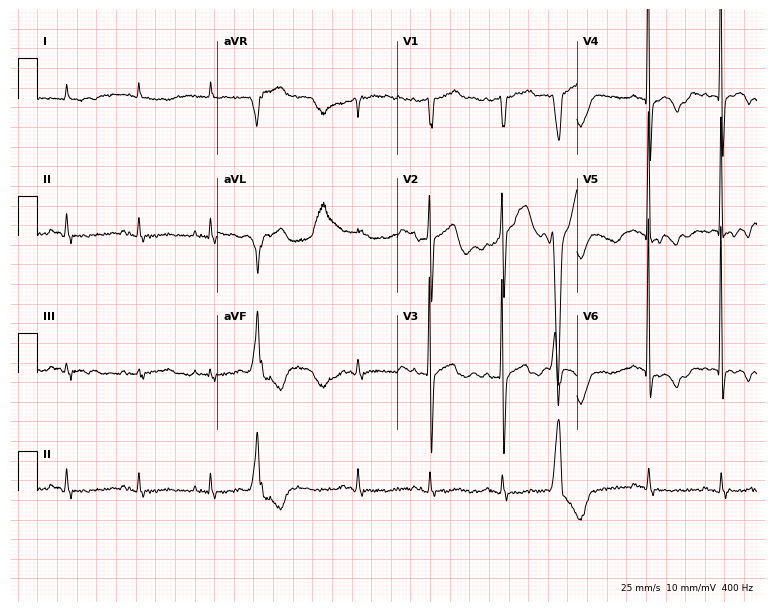
12-lead ECG from a male, 81 years old. No first-degree AV block, right bundle branch block, left bundle branch block, sinus bradycardia, atrial fibrillation or sinus tachycardia recorded for this tracing.